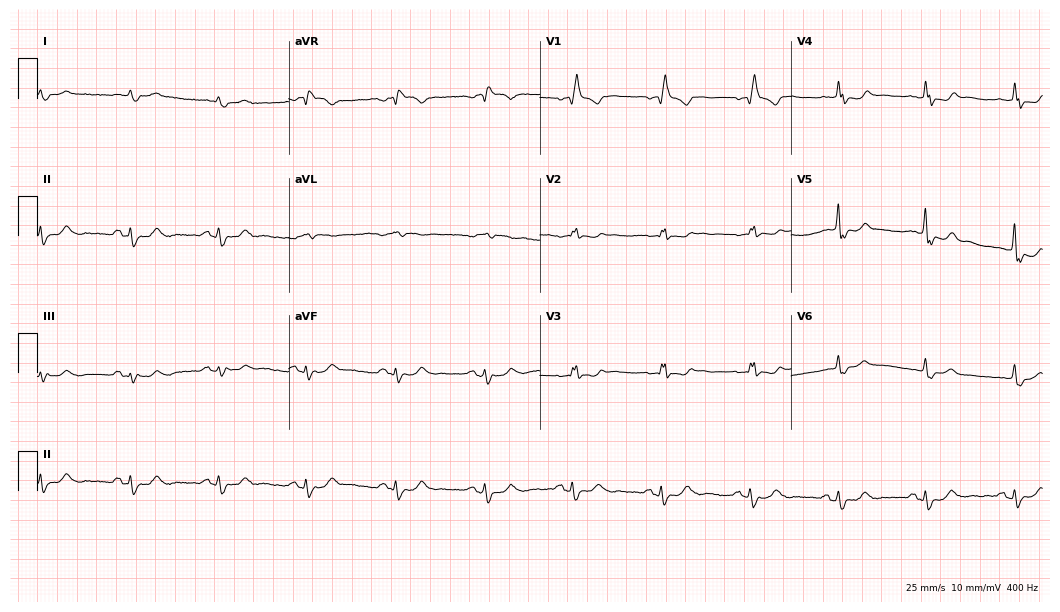
12-lead ECG from an 81-year-old male. Shows right bundle branch block.